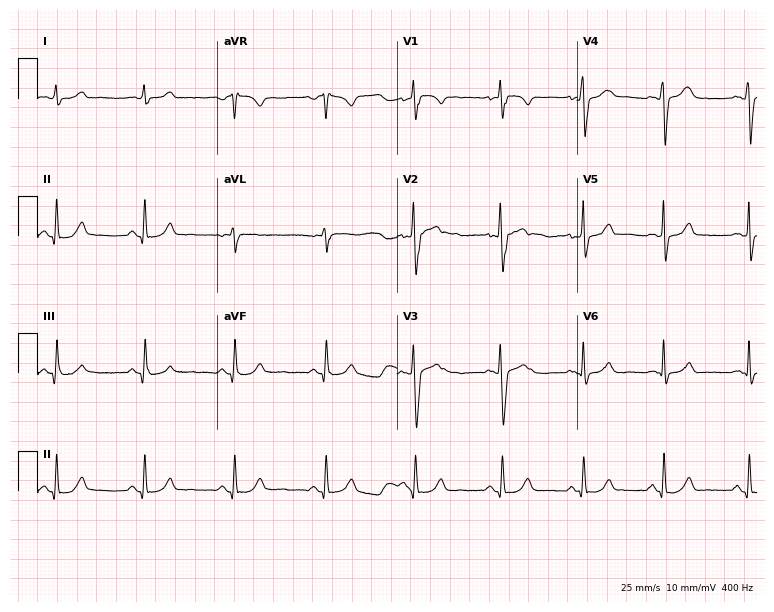
12-lead ECG from a 37-year-old male patient. Labelled as a normal ECG.